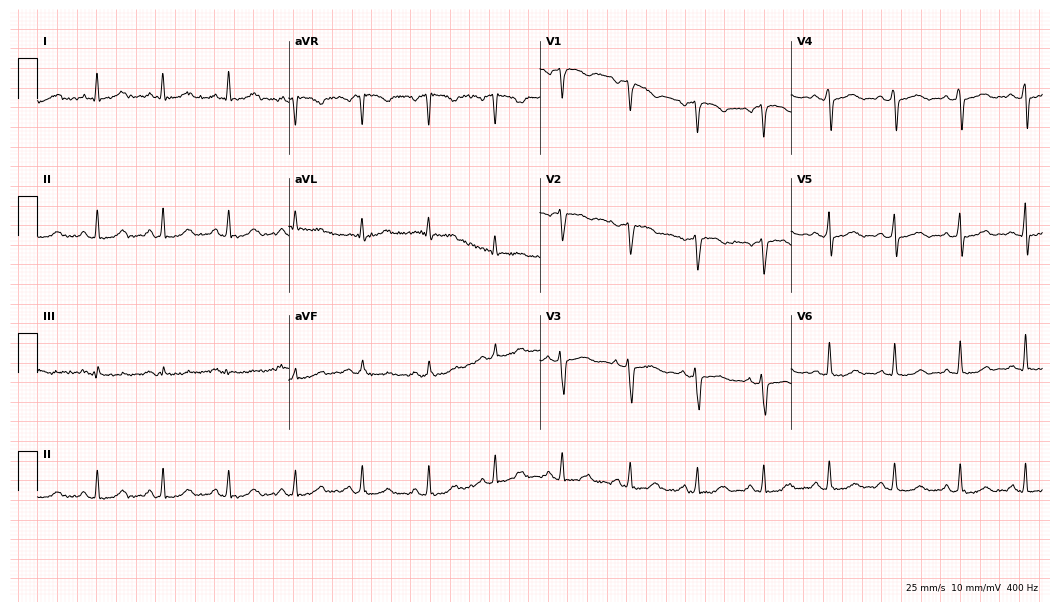
Standard 12-lead ECG recorded from a 49-year-old woman (10.2-second recording at 400 Hz). Read as a normal ECG.